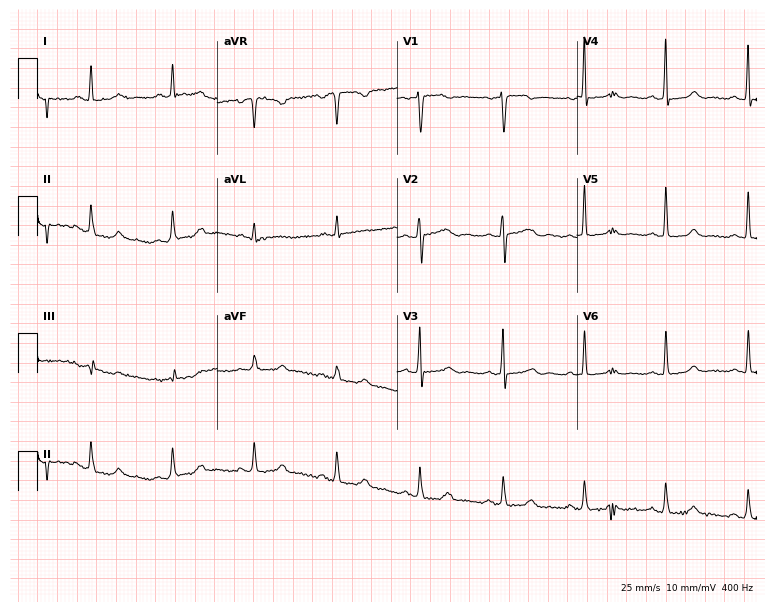
12-lead ECG from a 54-year-old female patient. Screened for six findings — first-degree AV block, right bundle branch block, left bundle branch block, sinus bradycardia, atrial fibrillation, sinus tachycardia — none is recorded. Other findings, if any, are not listed.